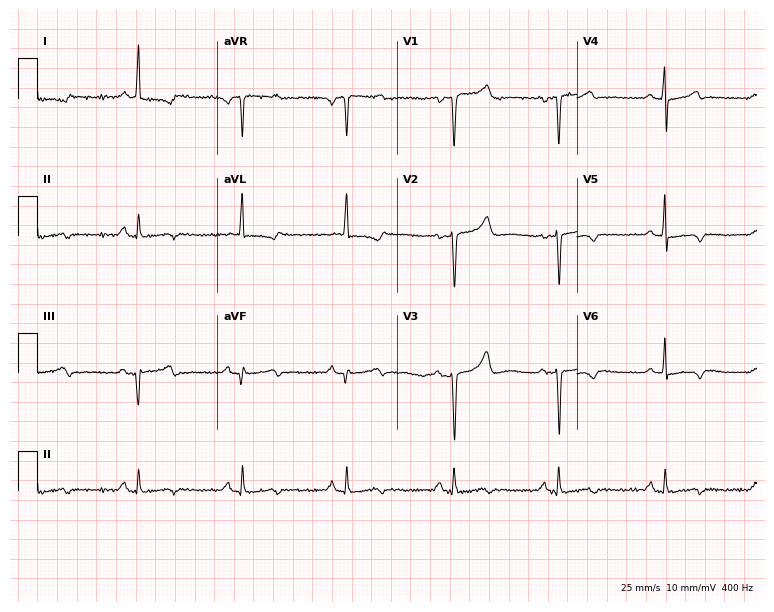
12-lead ECG from a 56-year-old female. Screened for six findings — first-degree AV block, right bundle branch block, left bundle branch block, sinus bradycardia, atrial fibrillation, sinus tachycardia — none is recorded. Findings outside these six are not listed.